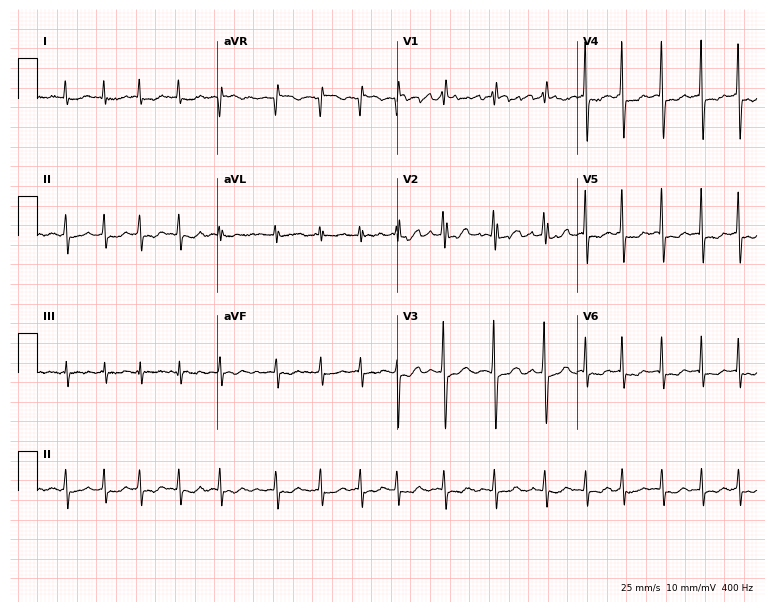
Standard 12-lead ECG recorded from an 82-year-old woman. The tracing shows atrial fibrillation.